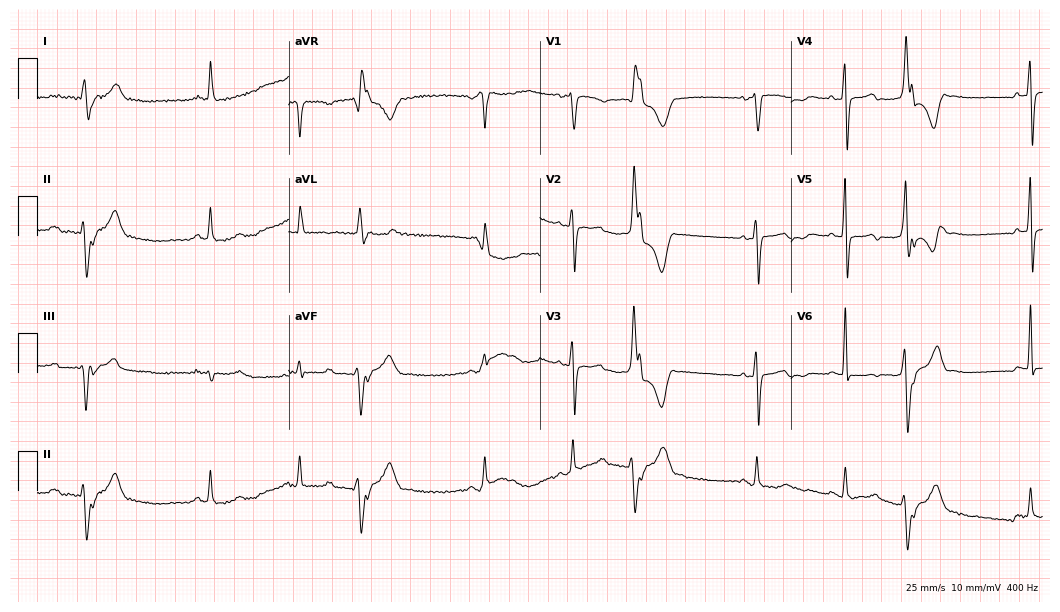
Electrocardiogram, a female patient, 78 years old. Of the six screened findings (first-degree AV block, right bundle branch block, left bundle branch block, sinus bradycardia, atrial fibrillation, sinus tachycardia), none is recorded. Other findings, if any, are not listed.